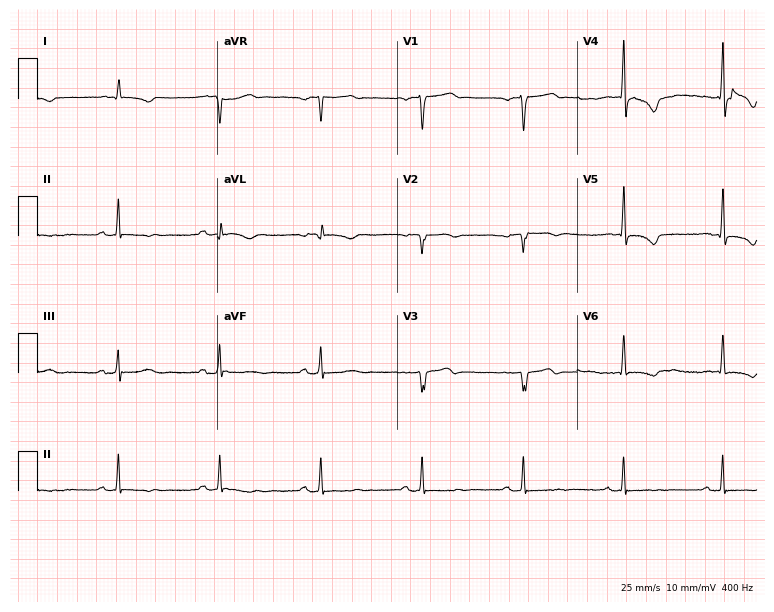
Resting 12-lead electrocardiogram (7.3-second recording at 400 Hz). Patient: a female, 83 years old. None of these six findings is recorded: first-degree AV block, right bundle branch block, left bundle branch block, sinus bradycardia, atrial fibrillation, sinus tachycardia.